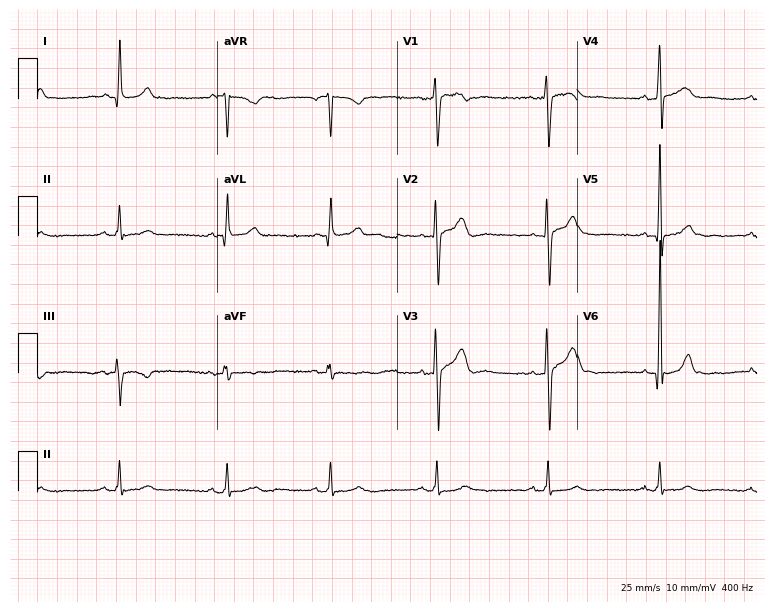
Resting 12-lead electrocardiogram. Patient: a 43-year-old male. None of these six findings is recorded: first-degree AV block, right bundle branch block, left bundle branch block, sinus bradycardia, atrial fibrillation, sinus tachycardia. Only these six findings were labelled.